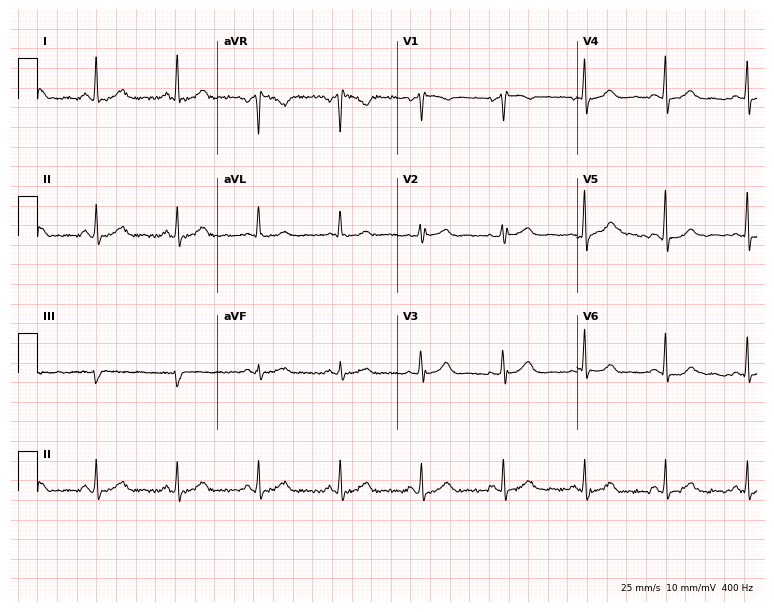
12-lead ECG (7.3-second recording at 400 Hz) from a 56-year-old female patient. Labelled as a normal ECG.